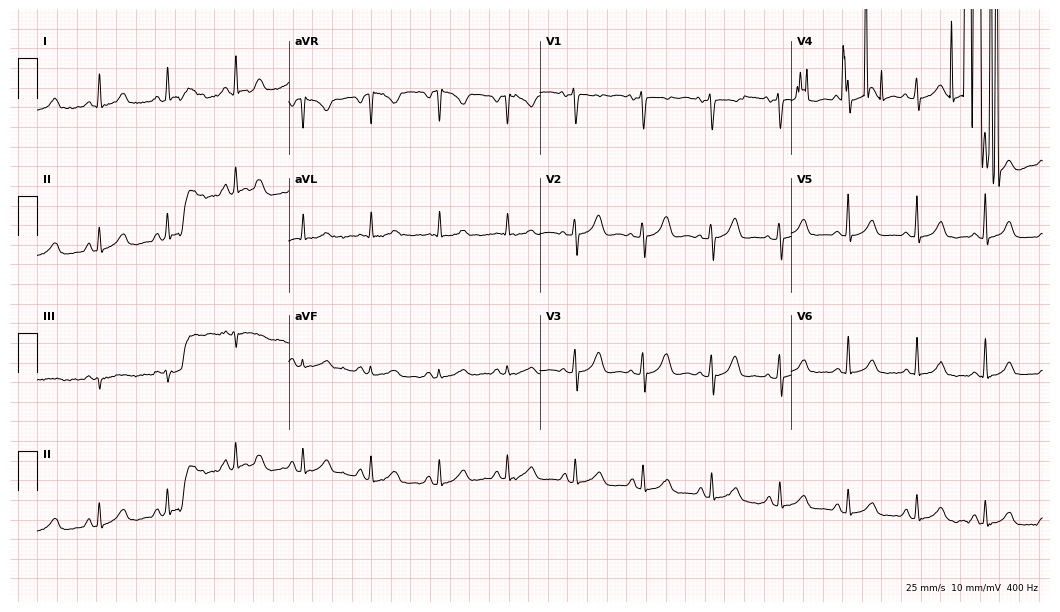
12-lead ECG from a 46-year-old female patient. Recorded interpretation: within normal limits.